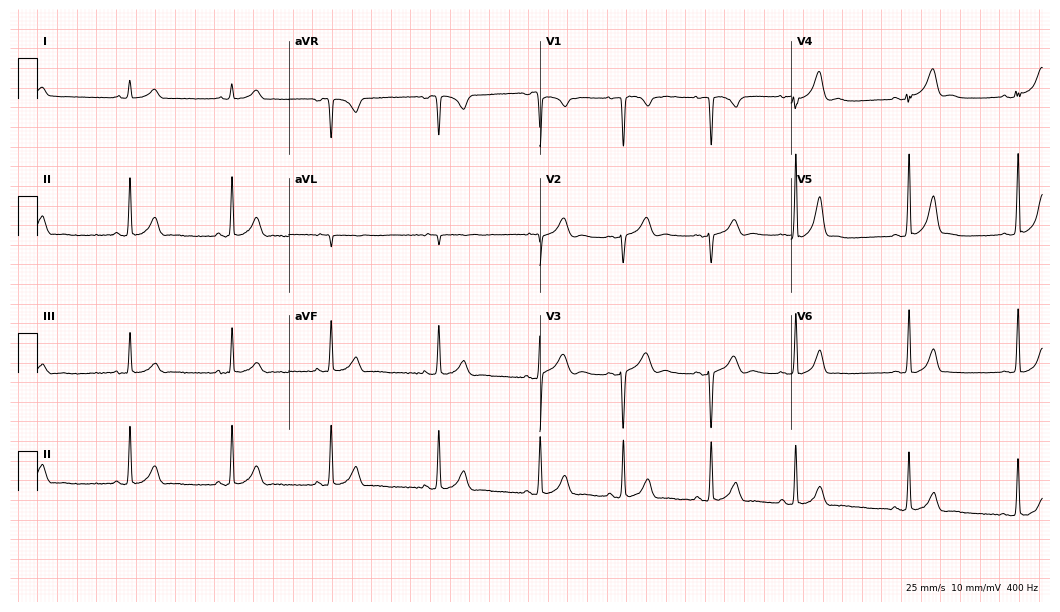
Electrocardiogram, a female, 19 years old. Of the six screened findings (first-degree AV block, right bundle branch block, left bundle branch block, sinus bradycardia, atrial fibrillation, sinus tachycardia), none is recorded.